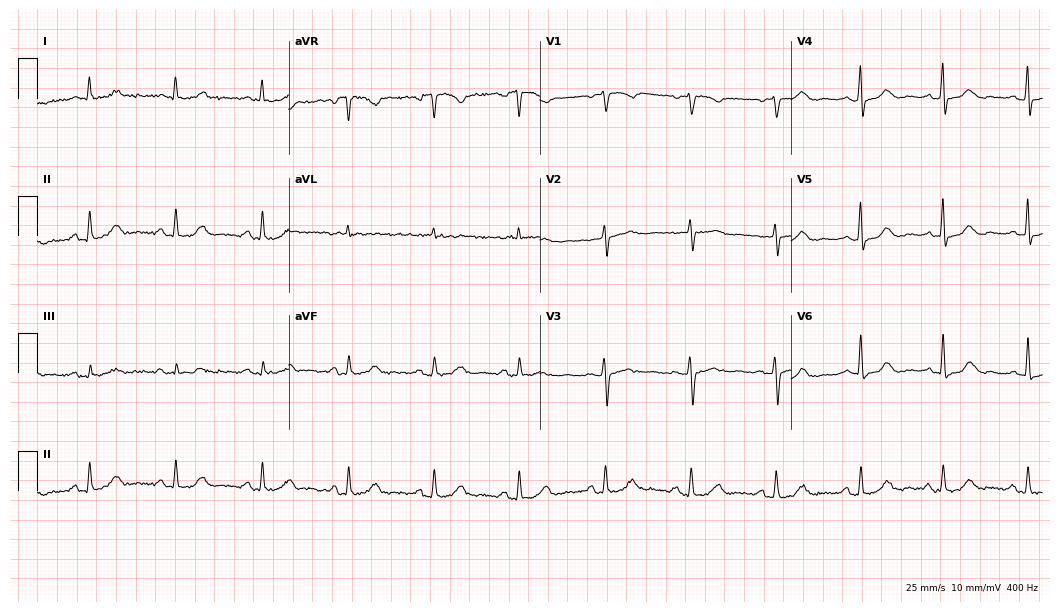
12-lead ECG from a 67-year-old female patient. Labelled as a normal ECG.